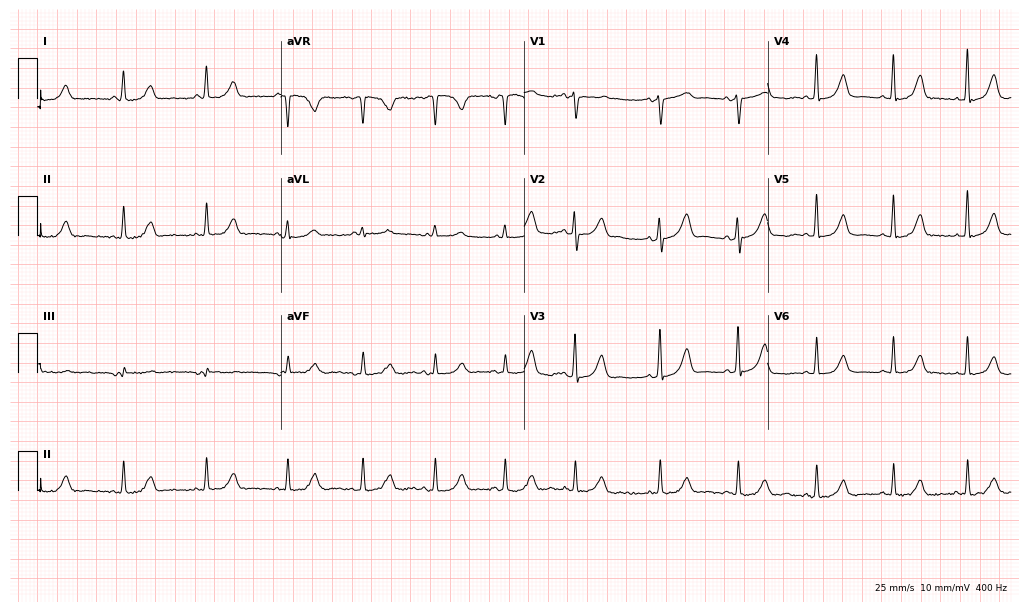
Resting 12-lead electrocardiogram. Patient: a female, 45 years old. None of these six findings is recorded: first-degree AV block, right bundle branch block (RBBB), left bundle branch block (LBBB), sinus bradycardia, atrial fibrillation (AF), sinus tachycardia. Findings outside these six are not listed.